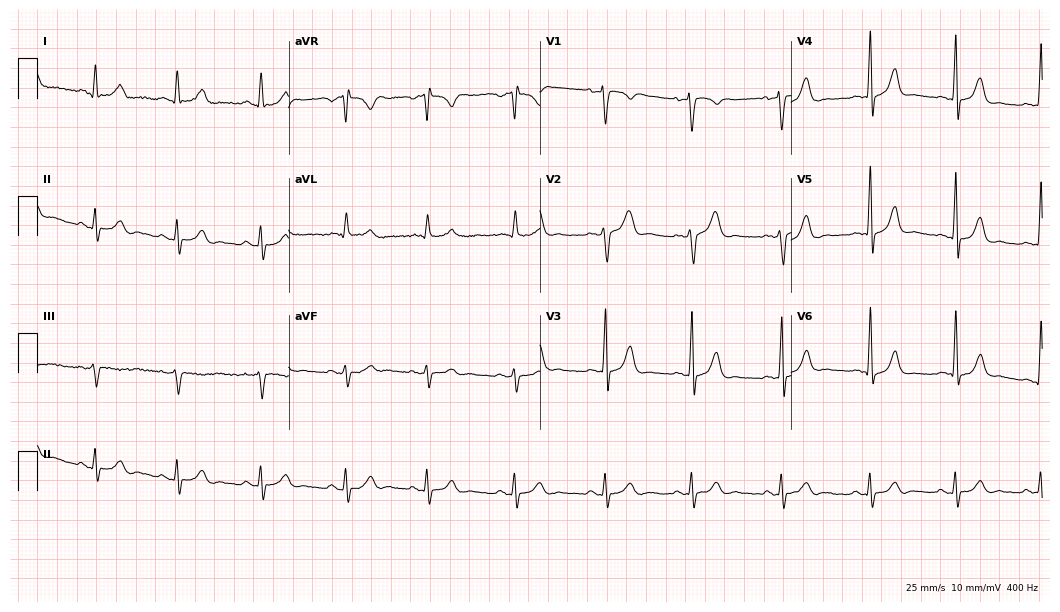
Standard 12-lead ECG recorded from a 30-year-old male. None of these six findings is recorded: first-degree AV block, right bundle branch block, left bundle branch block, sinus bradycardia, atrial fibrillation, sinus tachycardia. Other findings, if any, are not listed.